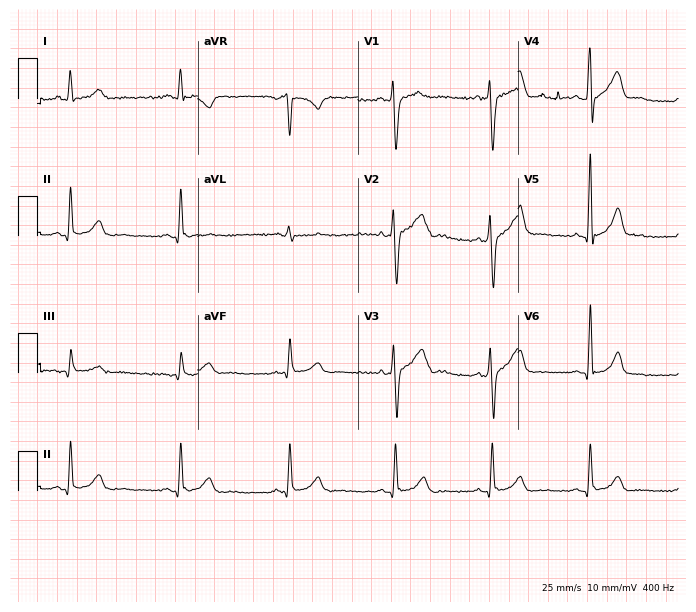
12-lead ECG from a man, 23 years old (6.5-second recording at 400 Hz). Recorded interpretation: within normal limits.